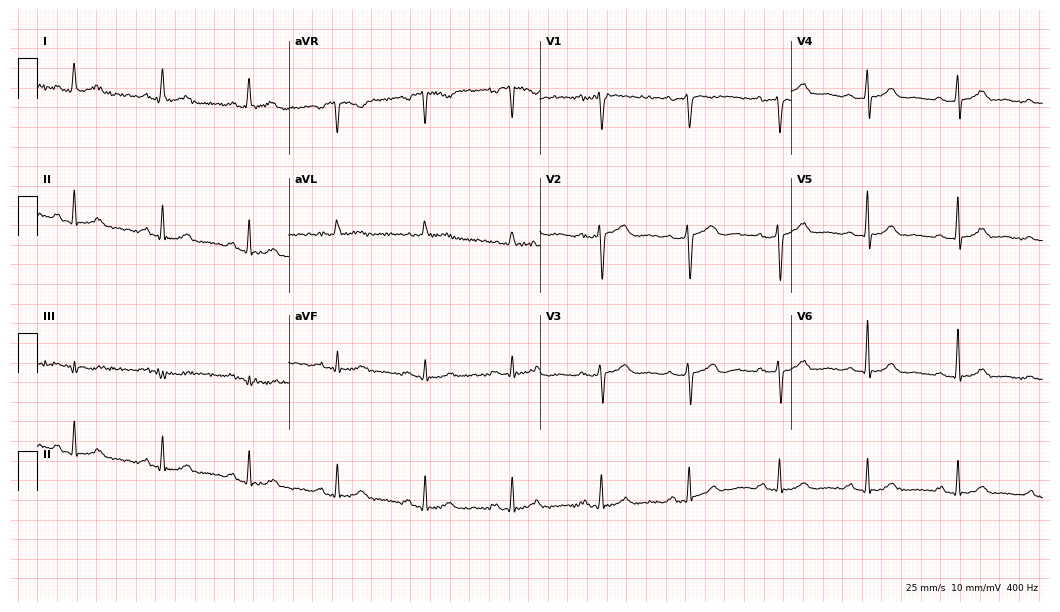
12-lead ECG from a female, 62 years old. Labelled as a normal ECG.